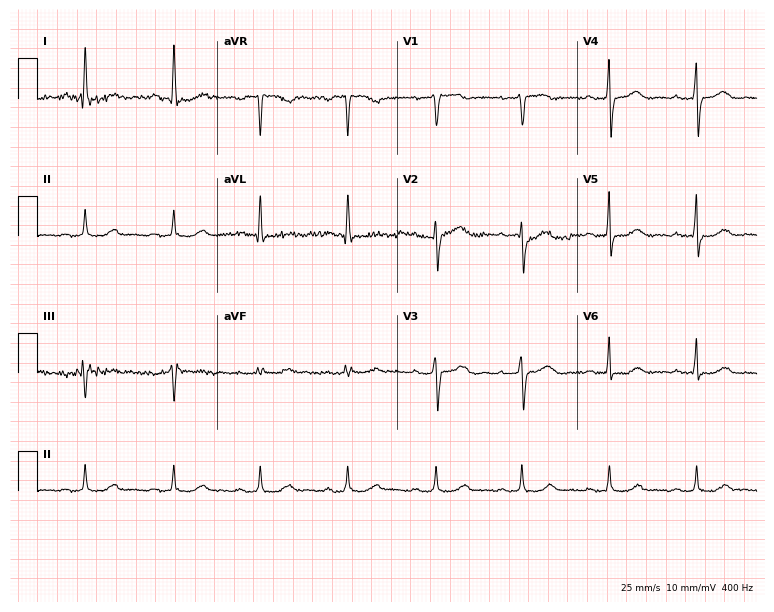
ECG — a female, 58 years old. Labelled as a normal ECG.